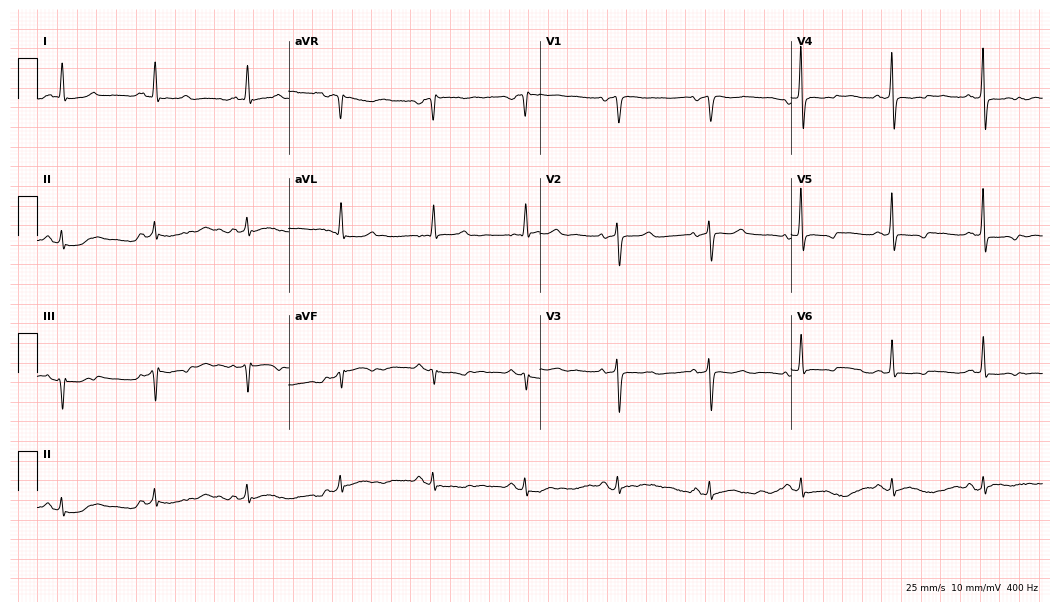
ECG (10.2-second recording at 400 Hz) — a female, 74 years old. Screened for six findings — first-degree AV block, right bundle branch block, left bundle branch block, sinus bradycardia, atrial fibrillation, sinus tachycardia — none is recorded. Only these six findings were labelled.